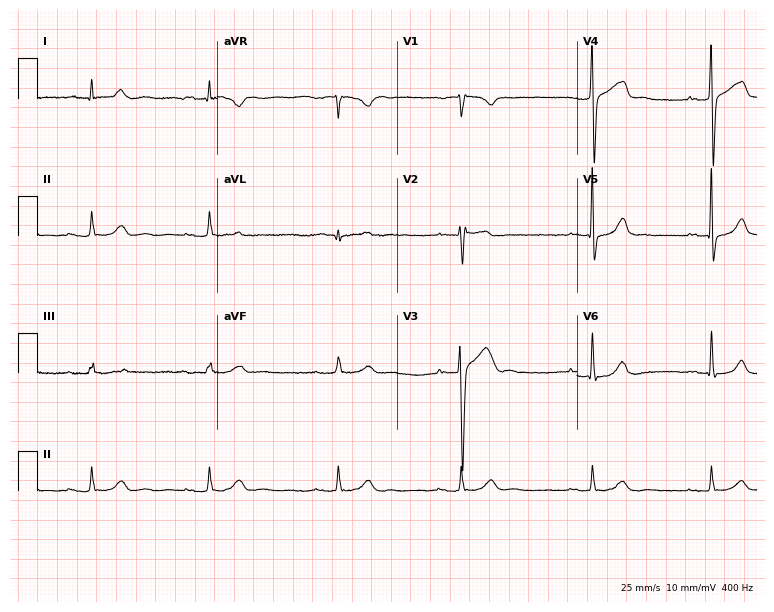
12-lead ECG from a male patient, 35 years old. Shows first-degree AV block, sinus bradycardia (a sinus rate of 50 beats per minute or less).